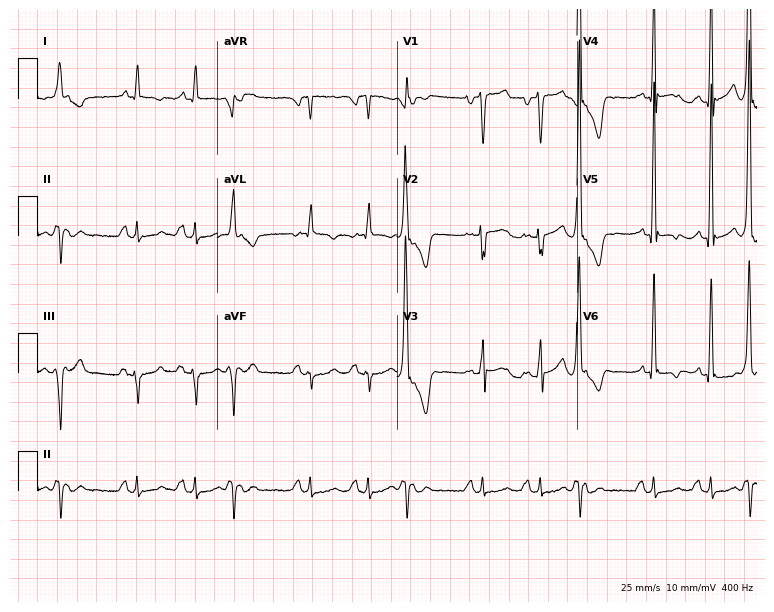
Electrocardiogram (7.3-second recording at 400 Hz), a man, 84 years old. Of the six screened findings (first-degree AV block, right bundle branch block, left bundle branch block, sinus bradycardia, atrial fibrillation, sinus tachycardia), none is recorded.